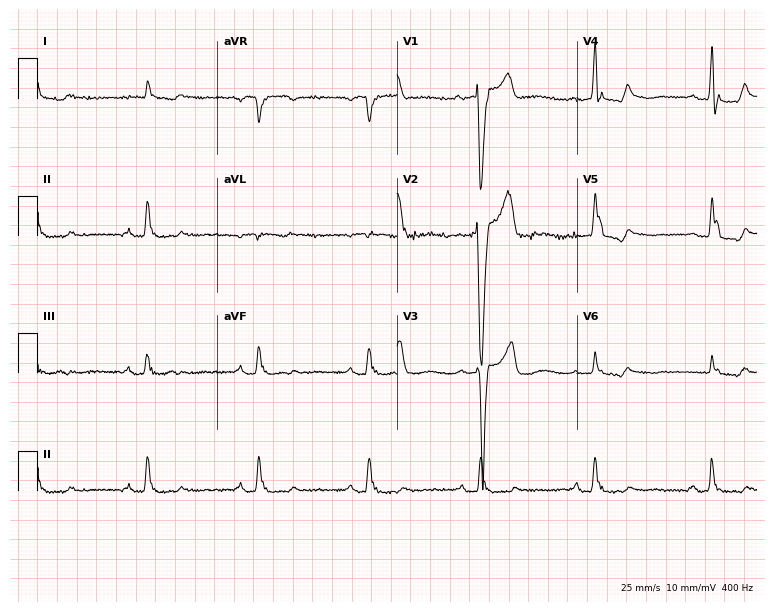
12-lead ECG from an 84-year-old woman (7.3-second recording at 400 Hz). Shows left bundle branch block (LBBB).